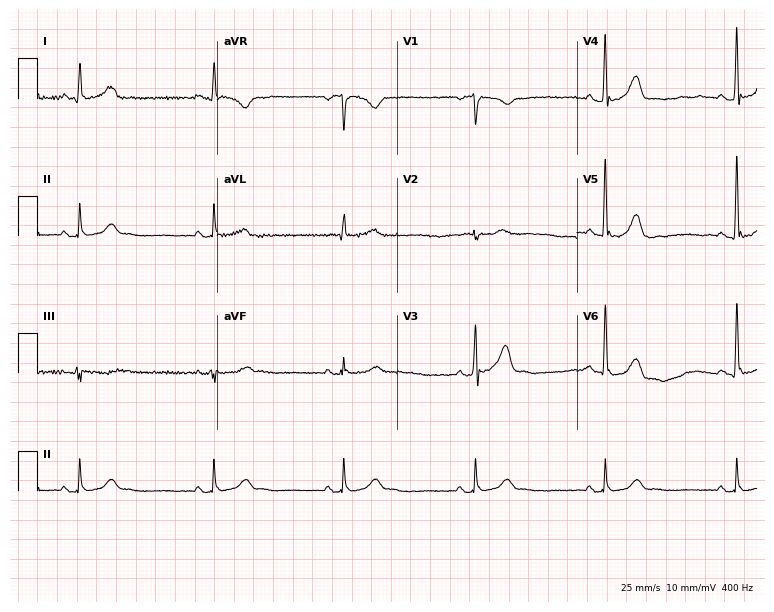
Resting 12-lead electrocardiogram. Patient: a 70-year-old man. The tracing shows sinus bradycardia (a sinus rate of 50 beats per minute or less).